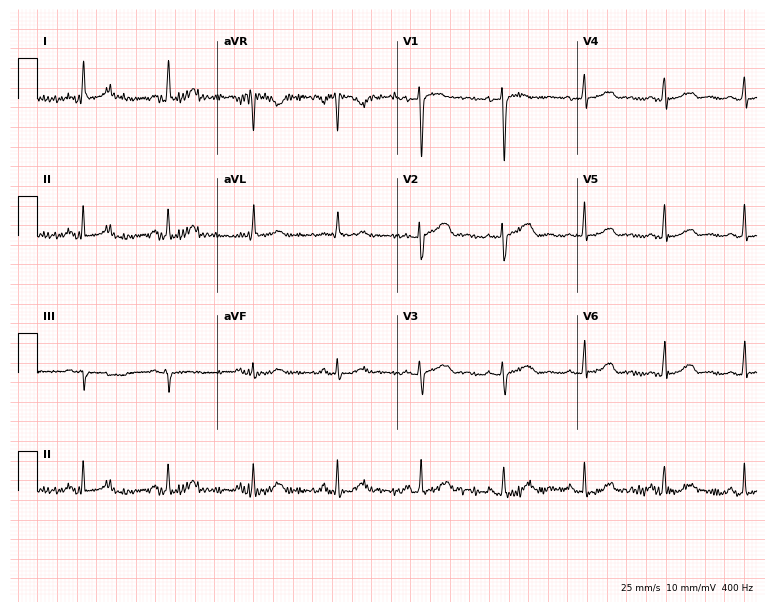
Electrocardiogram (7.3-second recording at 400 Hz), a 41-year-old female. Overall reading on record: normal ECG.